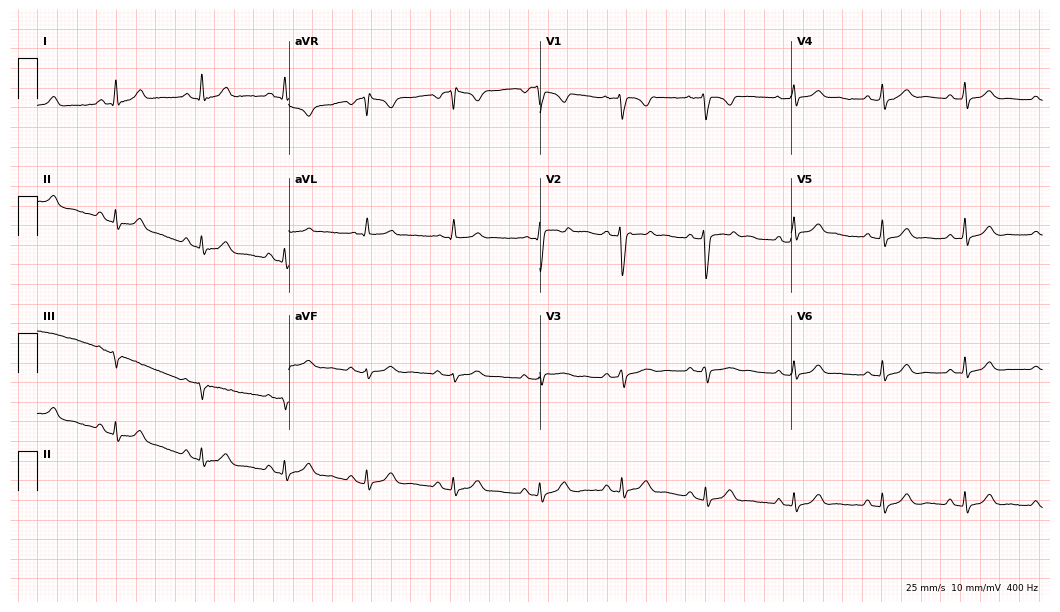
ECG (10.2-second recording at 400 Hz) — a female patient, 29 years old. Labelled as a normal ECG.